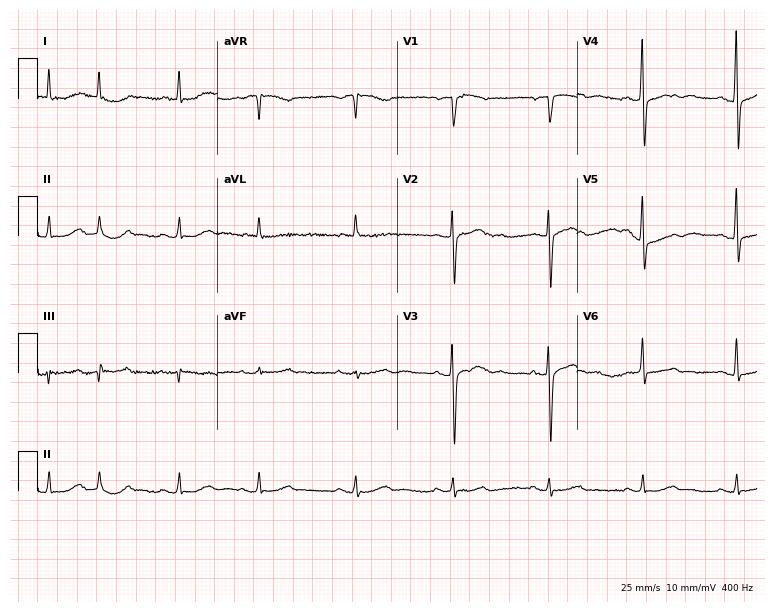
Standard 12-lead ECG recorded from an 84-year-old female patient (7.3-second recording at 400 Hz). None of these six findings is recorded: first-degree AV block, right bundle branch block (RBBB), left bundle branch block (LBBB), sinus bradycardia, atrial fibrillation (AF), sinus tachycardia.